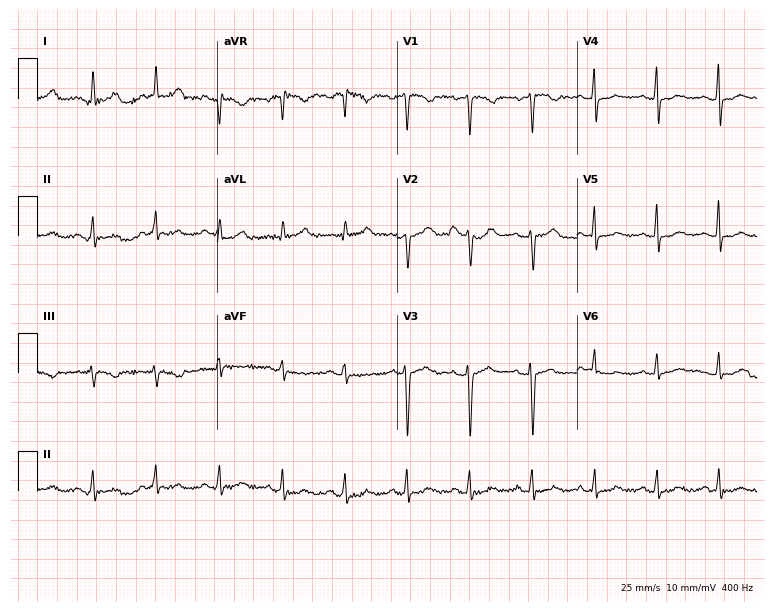
ECG — a 47-year-old female patient. Screened for six findings — first-degree AV block, right bundle branch block, left bundle branch block, sinus bradycardia, atrial fibrillation, sinus tachycardia — none is recorded.